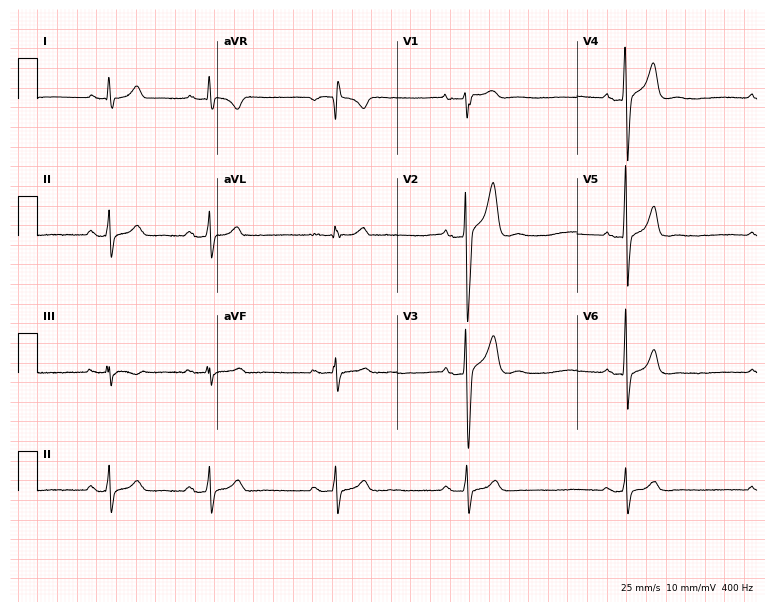
Standard 12-lead ECG recorded from a 34-year-old male. The tracing shows first-degree AV block, sinus bradycardia (a sinus rate of 50 beats per minute or less).